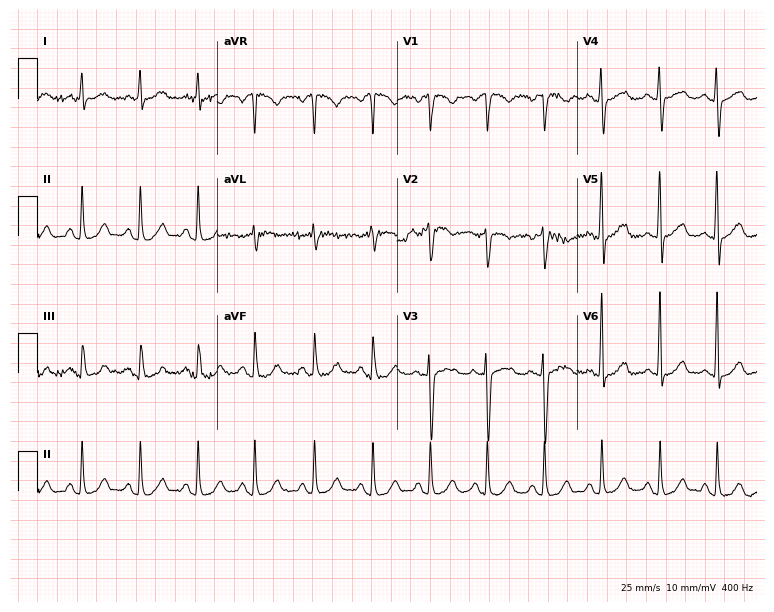
ECG (7.3-second recording at 400 Hz) — a 41-year-old female patient. Findings include sinus tachycardia (a sinus rate of 100 beats per minute or more).